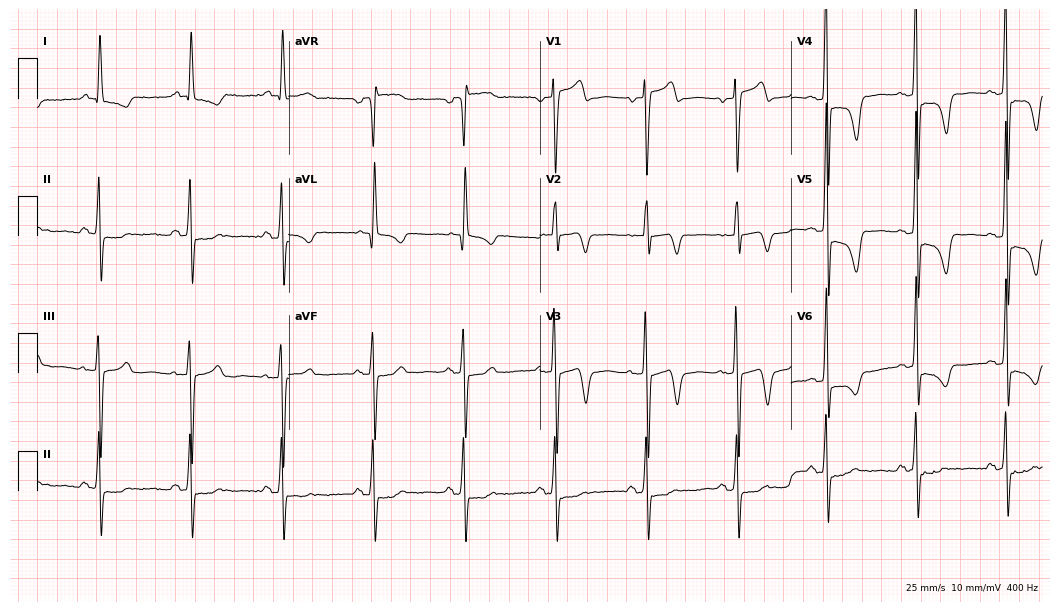
Standard 12-lead ECG recorded from a man, 77 years old (10.2-second recording at 400 Hz). None of these six findings is recorded: first-degree AV block, right bundle branch block, left bundle branch block, sinus bradycardia, atrial fibrillation, sinus tachycardia. Only these six findings were labelled.